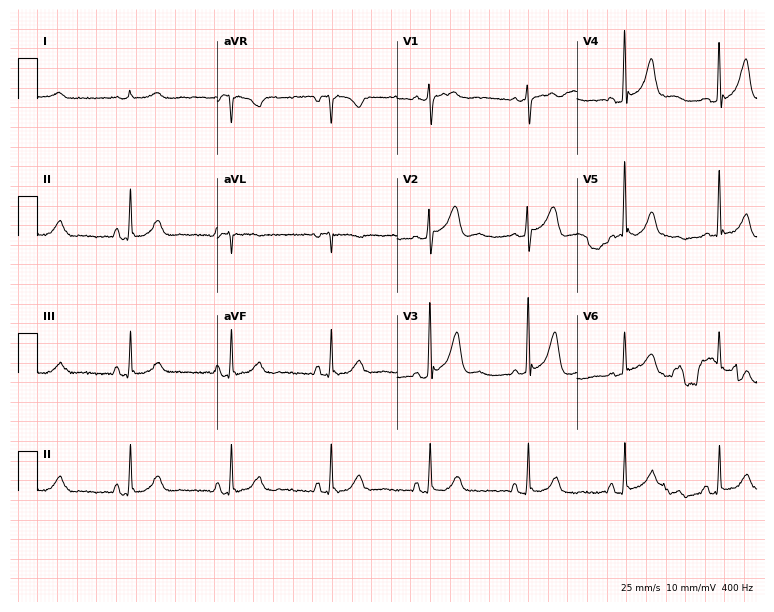
ECG — a male patient, 76 years old. Labelled as a normal ECG.